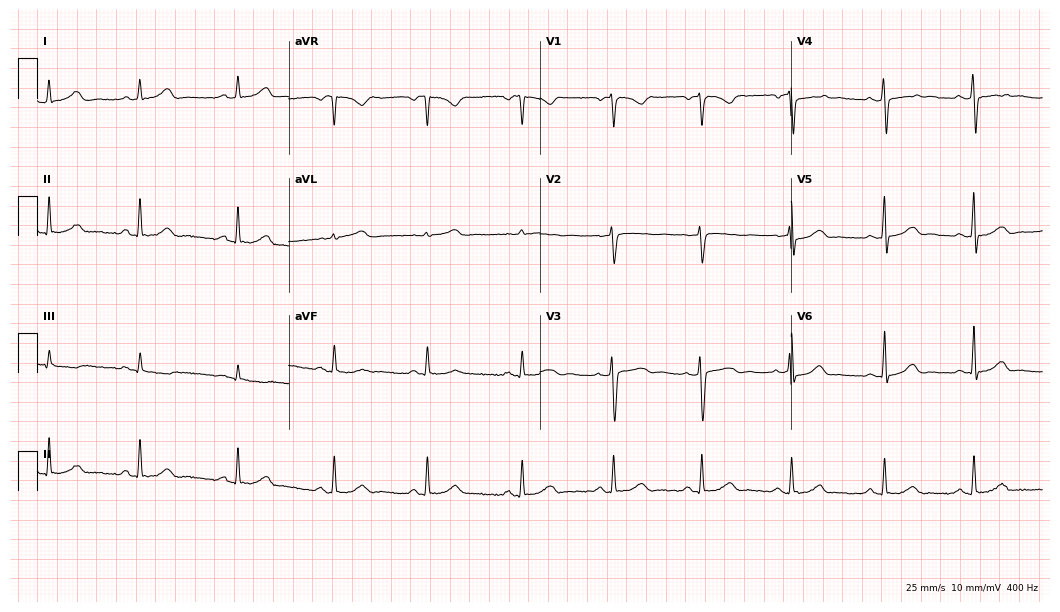
12-lead ECG (10.2-second recording at 400 Hz) from a woman, 38 years old. Labelled as a normal ECG.